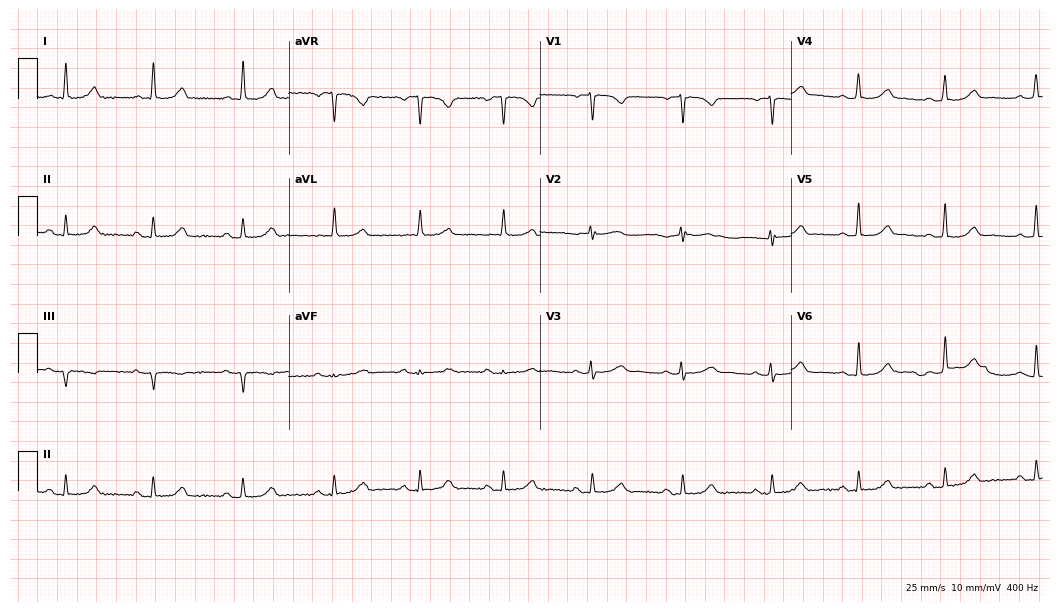
ECG (10.2-second recording at 400 Hz) — a female, 54 years old. Labelled as a normal ECG.